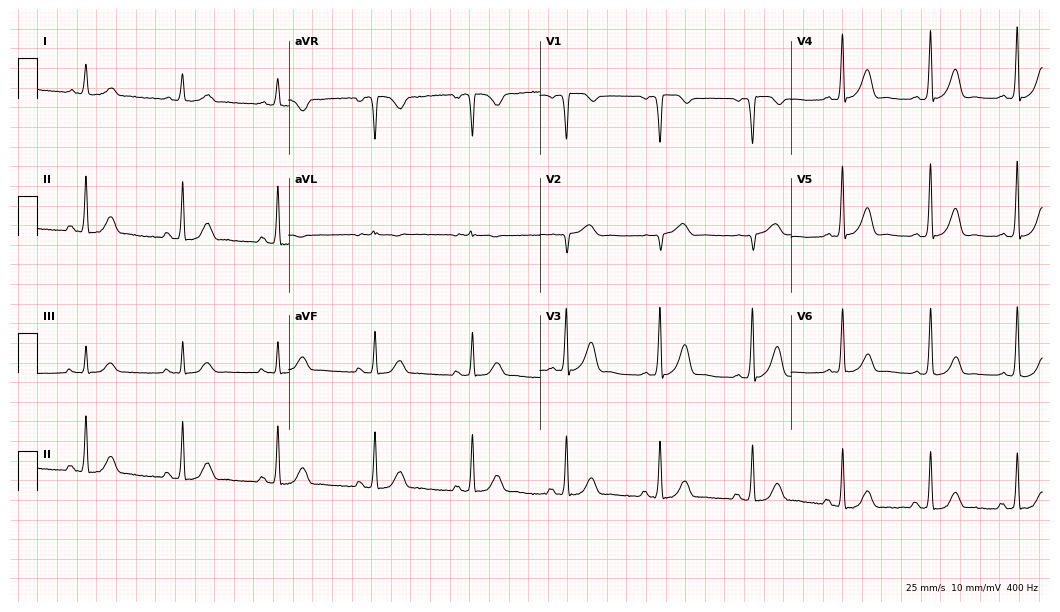
Resting 12-lead electrocardiogram (10.2-second recording at 400 Hz). Patient: a man, 64 years old. None of these six findings is recorded: first-degree AV block, right bundle branch block, left bundle branch block, sinus bradycardia, atrial fibrillation, sinus tachycardia. Only these six findings were labelled.